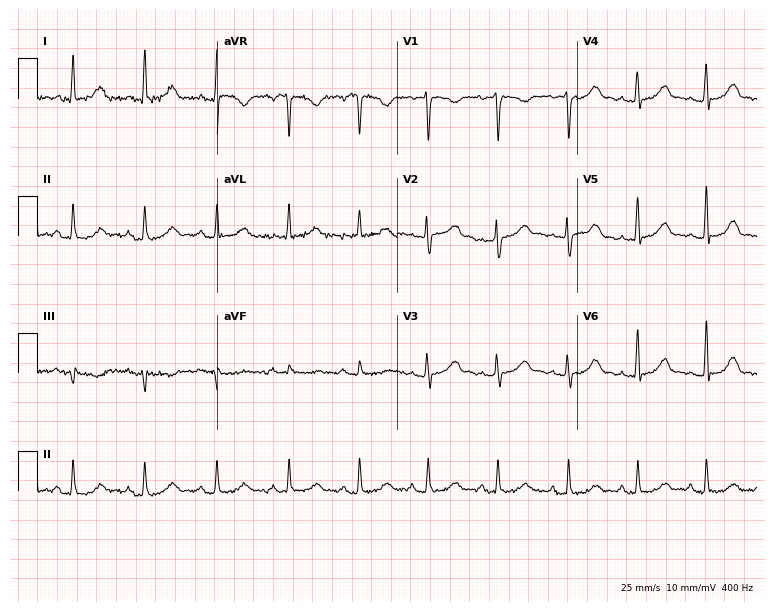
12-lead ECG from a woman, 46 years old (7.3-second recording at 400 Hz). No first-degree AV block, right bundle branch block, left bundle branch block, sinus bradycardia, atrial fibrillation or sinus tachycardia recorded for this tracing. Only these six findings were labelled.